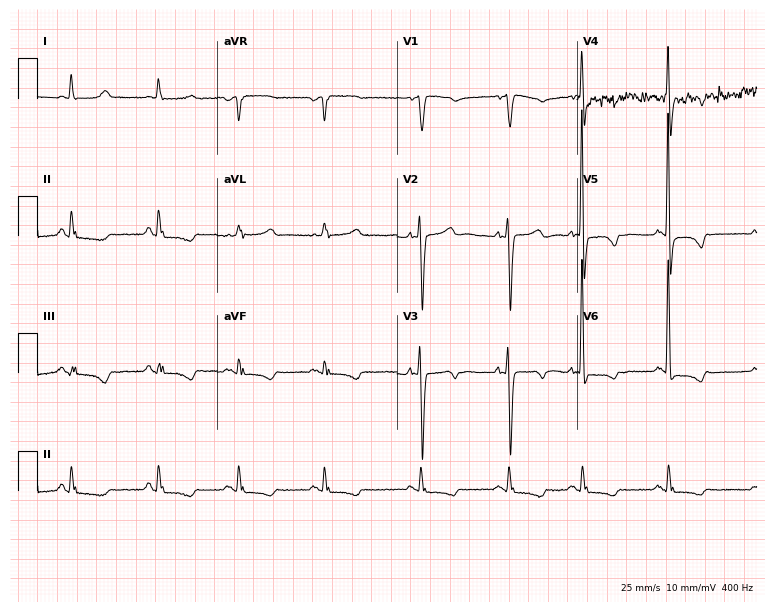
Electrocardiogram, a female, 79 years old. Of the six screened findings (first-degree AV block, right bundle branch block, left bundle branch block, sinus bradycardia, atrial fibrillation, sinus tachycardia), none is recorded. Other findings, if any, are not listed.